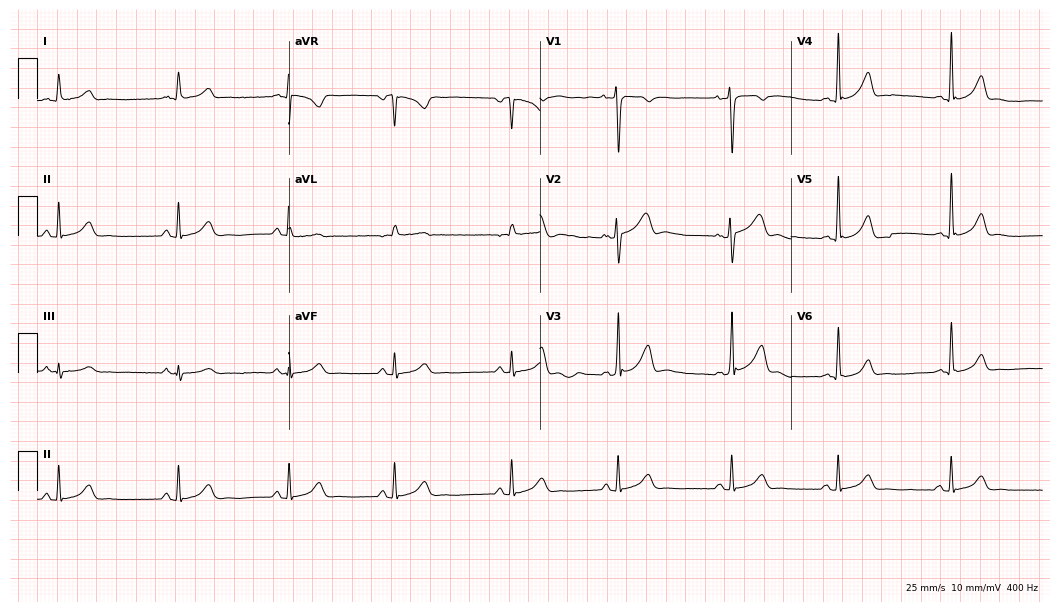
ECG — a male patient, 42 years old. Labelled as a normal ECG.